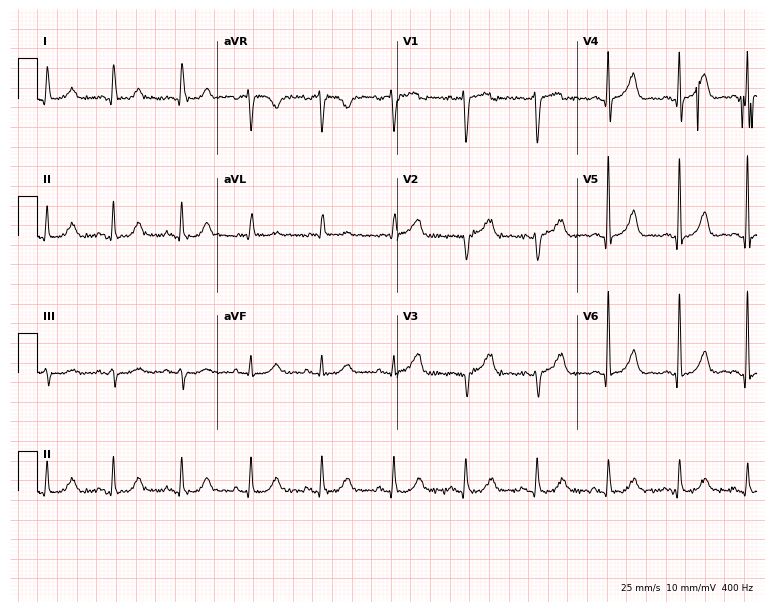
Electrocardiogram (7.3-second recording at 400 Hz), a male, 75 years old. Interpretation includes atrial fibrillation.